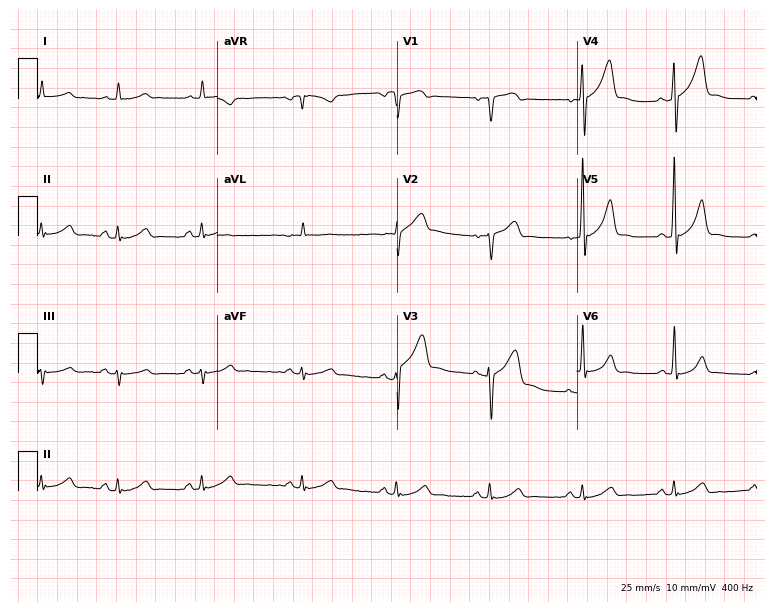
Standard 12-lead ECG recorded from a male patient, 54 years old (7.3-second recording at 400 Hz). None of these six findings is recorded: first-degree AV block, right bundle branch block, left bundle branch block, sinus bradycardia, atrial fibrillation, sinus tachycardia. Other findings, if any, are not listed.